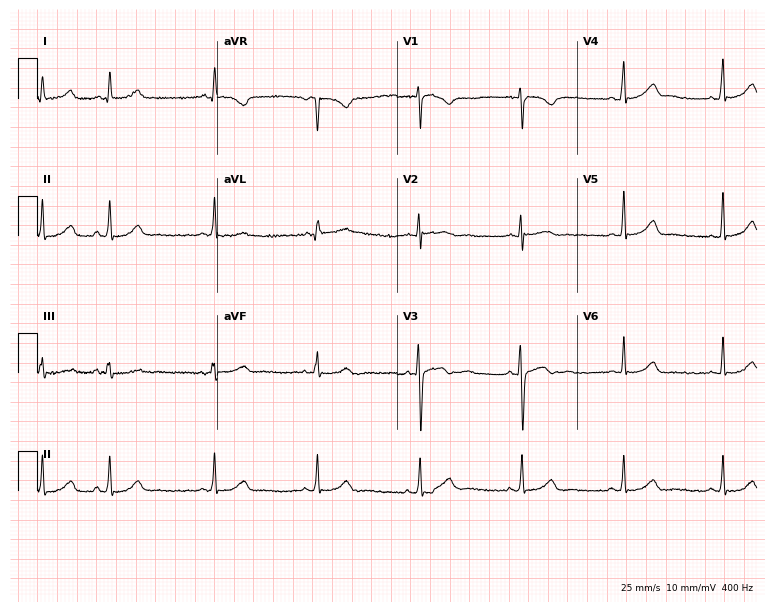
12-lead ECG from a 25-year-old female (7.3-second recording at 400 Hz). Recorded interpretation: within normal limits.